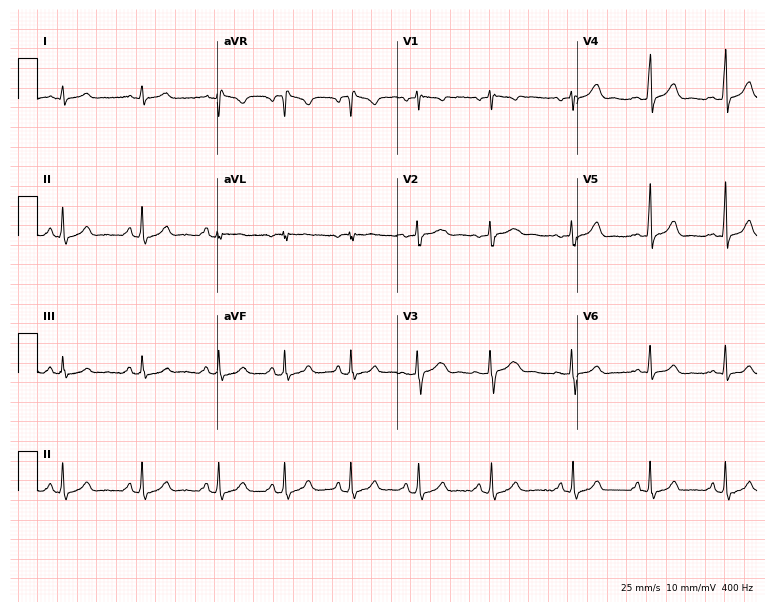
ECG (7.3-second recording at 400 Hz) — a woman, 24 years old. Screened for six findings — first-degree AV block, right bundle branch block, left bundle branch block, sinus bradycardia, atrial fibrillation, sinus tachycardia — none is recorded. Other findings, if any, are not listed.